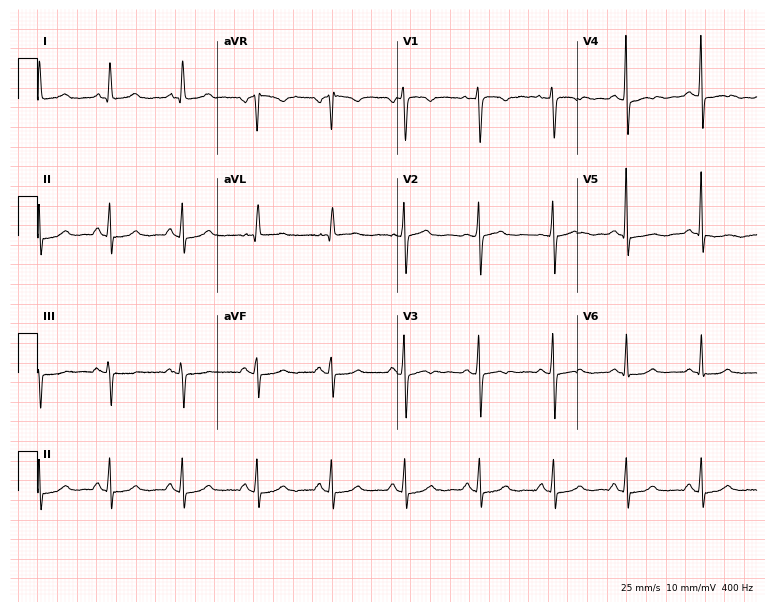
Standard 12-lead ECG recorded from a woman, 47 years old. None of these six findings is recorded: first-degree AV block, right bundle branch block (RBBB), left bundle branch block (LBBB), sinus bradycardia, atrial fibrillation (AF), sinus tachycardia. Other findings, if any, are not listed.